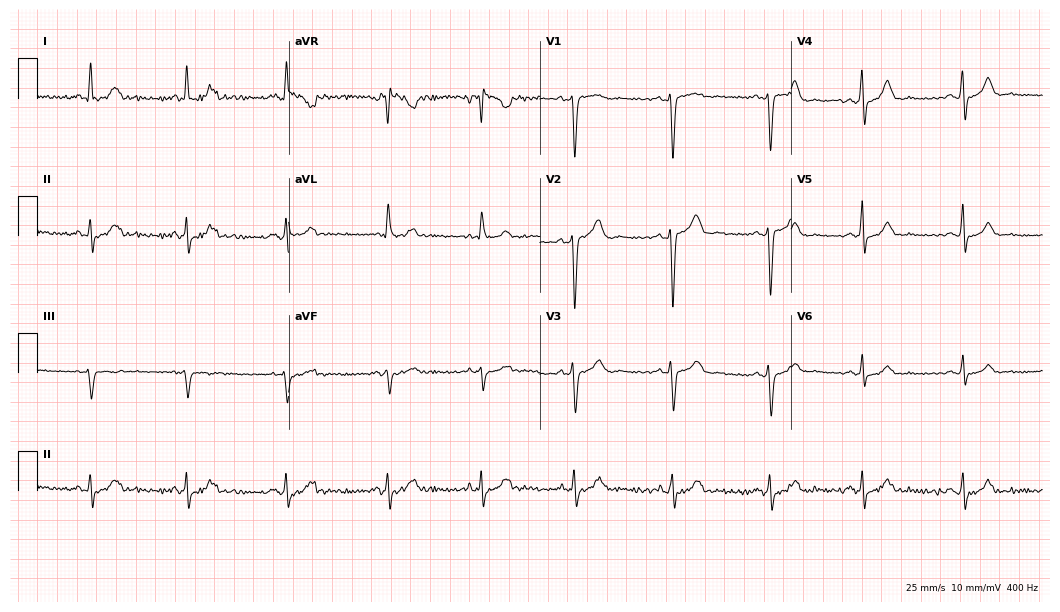
12-lead ECG (10.2-second recording at 400 Hz) from a female patient, 42 years old. Screened for six findings — first-degree AV block, right bundle branch block (RBBB), left bundle branch block (LBBB), sinus bradycardia, atrial fibrillation (AF), sinus tachycardia — none is recorded. Only these six findings were labelled.